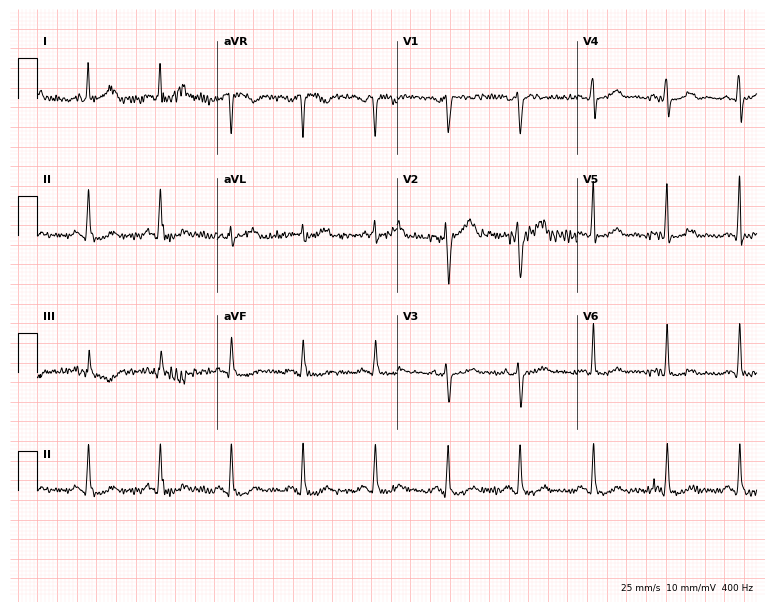
Standard 12-lead ECG recorded from a 45-year-old woman (7.3-second recording at 400 Hz). Read as a normal ECG.